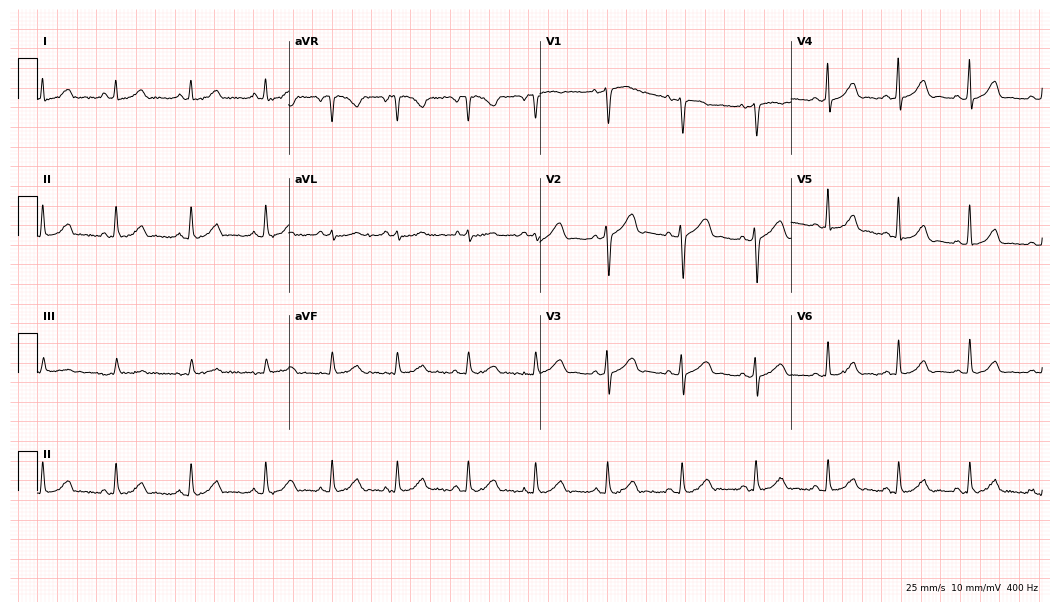
ECG (10.2-second recording at 400 Hz) — a female patient, 36 years old. Screened for six findings — first-degree AV block, right bundle branch block, left bundle branch block, sinus bradycardia, atrial fibrillation, sinus tachycardia — none is recorded. Findings outside these six are not listed.